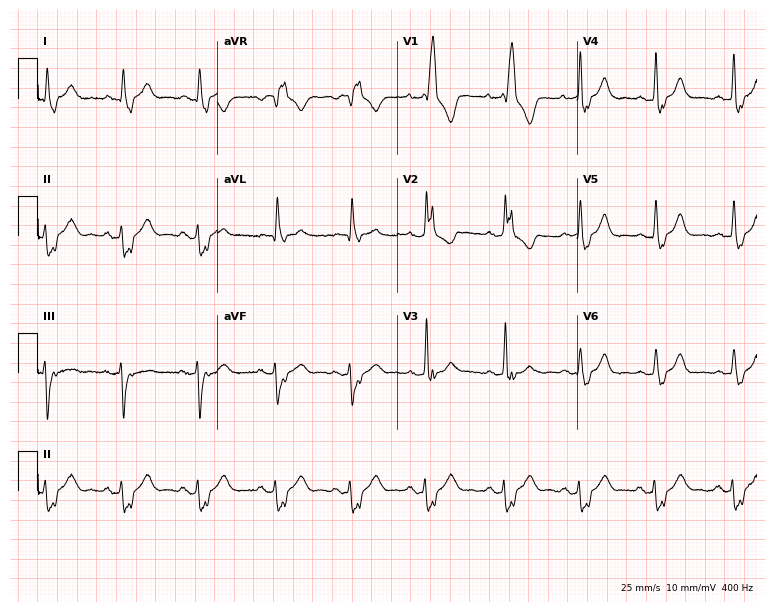
Electrocardiogram, a woman, 58 years old. Of the six screened findings (first-degree AV block, right bundle branch block, left bundle branch block, sinus bradycardia, atrial fibrillation, sinus tachycardia), none is recorded. Findings outside these six are not listed.